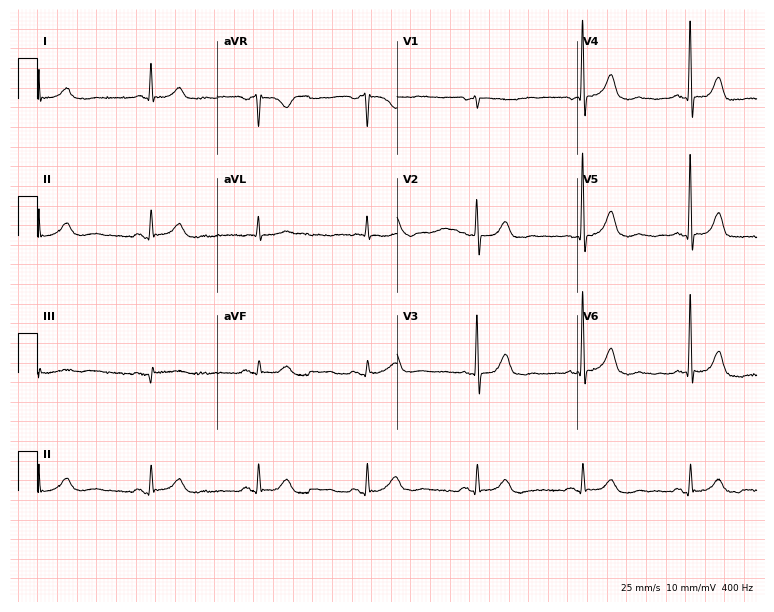
12-lead ECG from a male, 83 years old. Recorded interpretation: within normal limits.